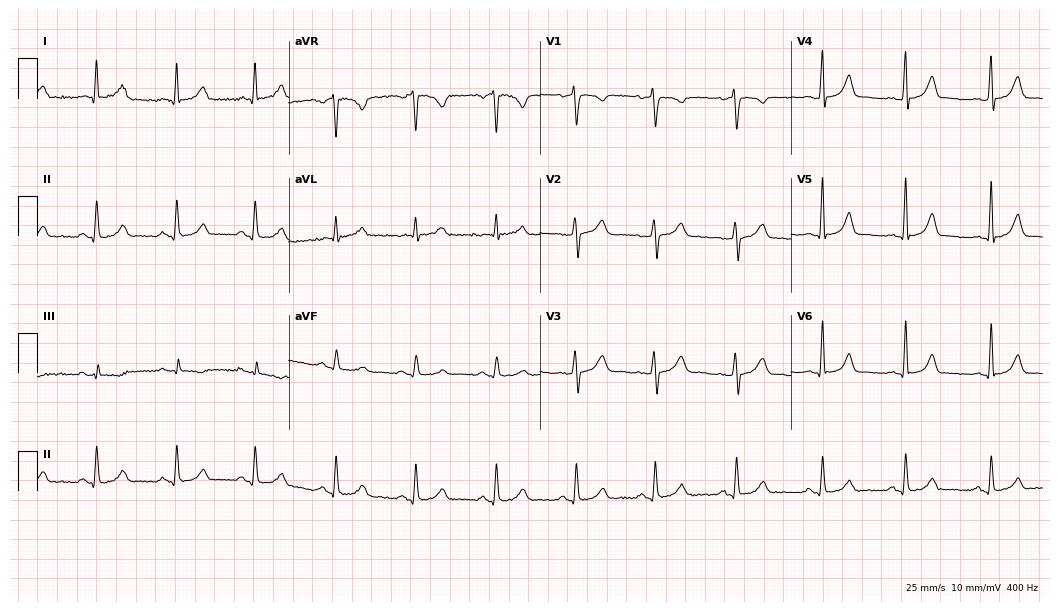
Electrocardiogram, a woman, 29 years old. Overall reading on record: normal ECG.